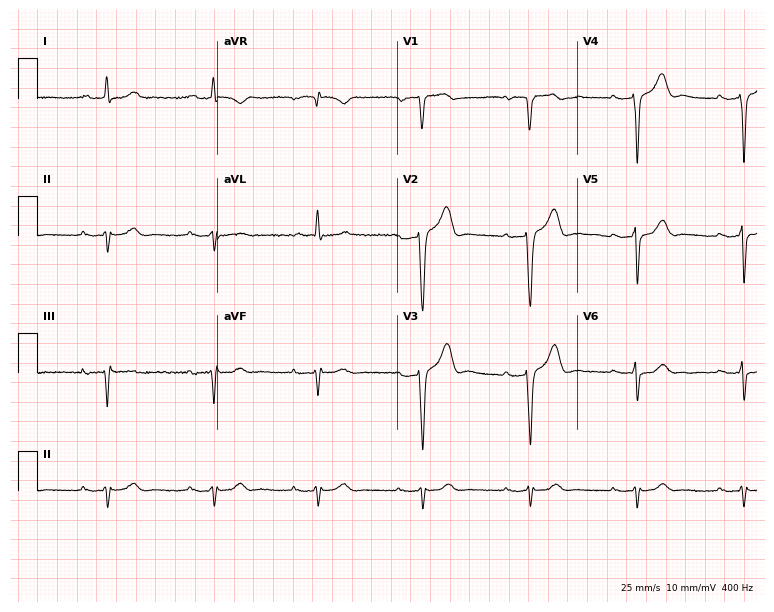
12-lead ECG (7.3-second recording at 400 Hz) from an 83-year-old male patient. Findings include first-degree AV block.